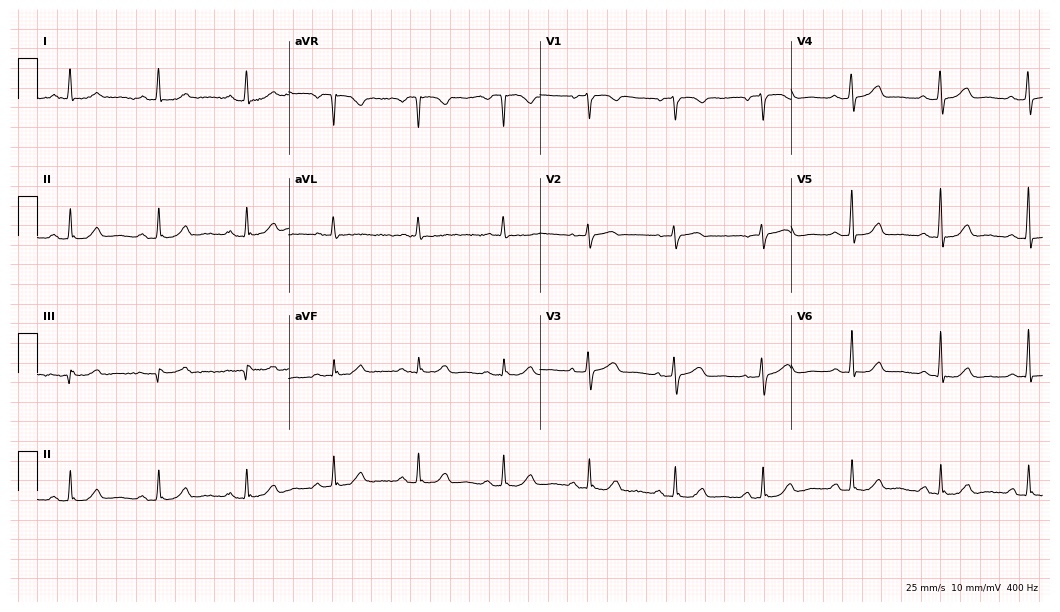
12-lead ECG from a 76-year-old woman (10.2-second recording at 400 Hz). Recorded interpretation: within normal limits.